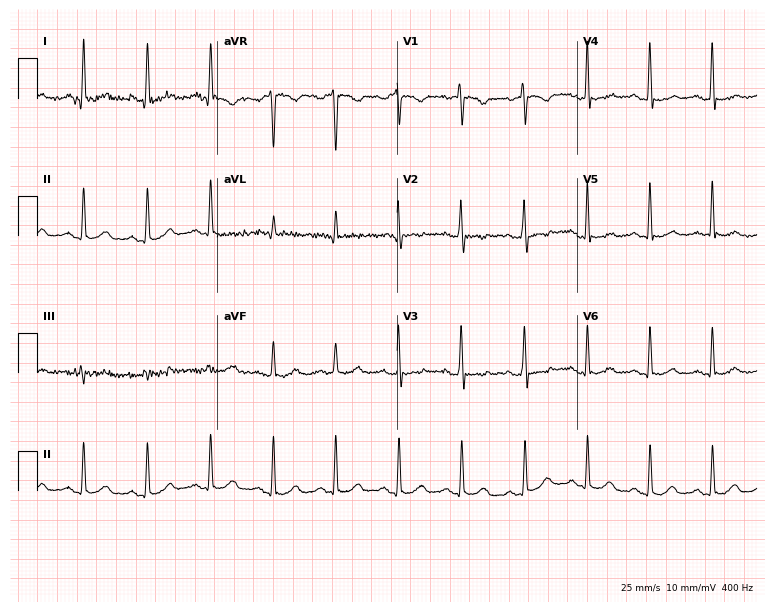
Electrocardiogram, a 53-year-old female patient. Of the six screened findings (first-degree AV block, right bundle branch block, left bundle branch block, sinus bradycardia, atrial fibrillation, sinus tachycardia), none is recorded.